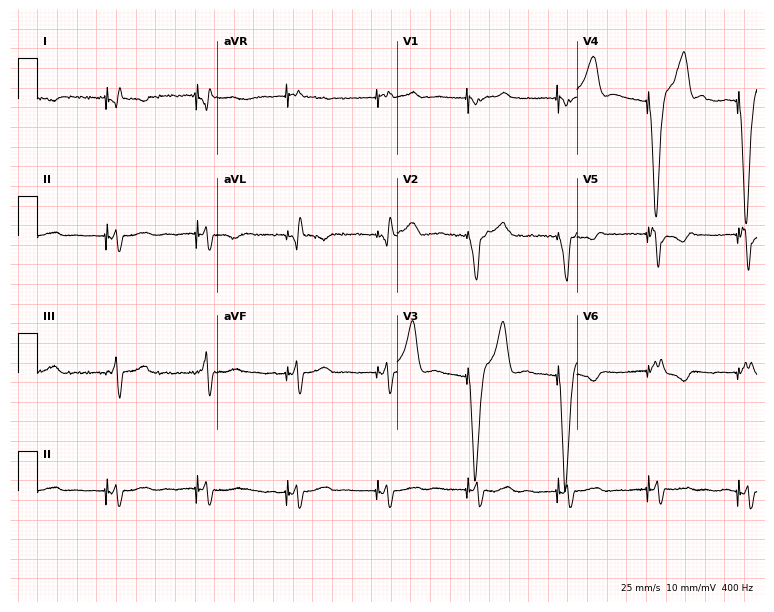
12-lead ECG from a male patient, 76 years old. No first-degree AV block, right bundle branch block (RBBB), left bundle branch block (LBBB), sinus bradycardia, atrial fibrillation (AF) or sinus tachycardia recorded for this tracing. Other findings, if any, are not listed.